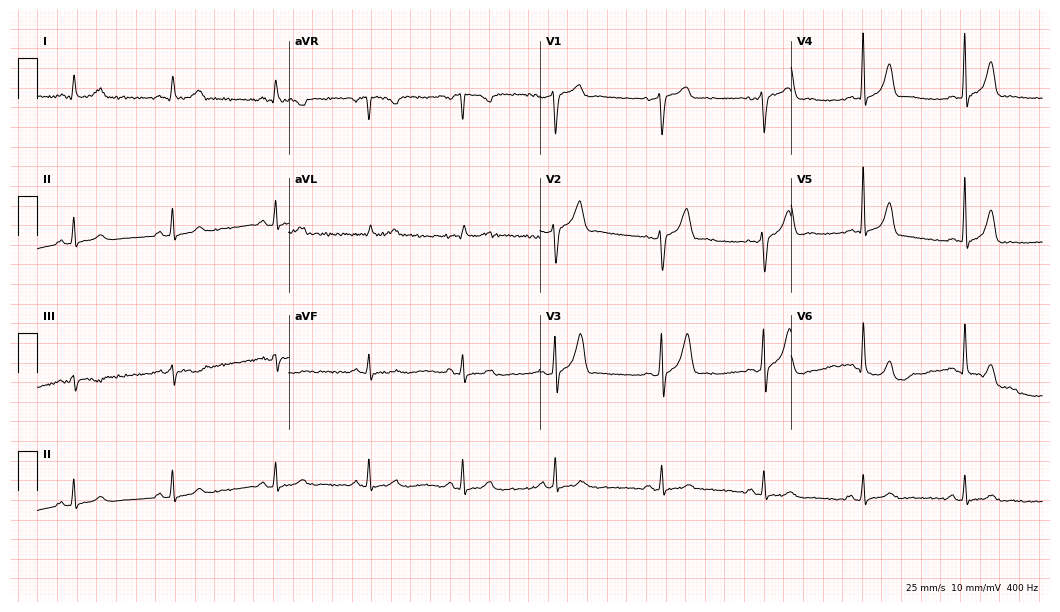
Electrocardiogram, a 62-year-old man. Of the six screened findings (first-degree AV block, right bundle branch block, left bundle branch block, sinus bradycardia, atrial fibrillation, sinus tachycardia), none is recorded.